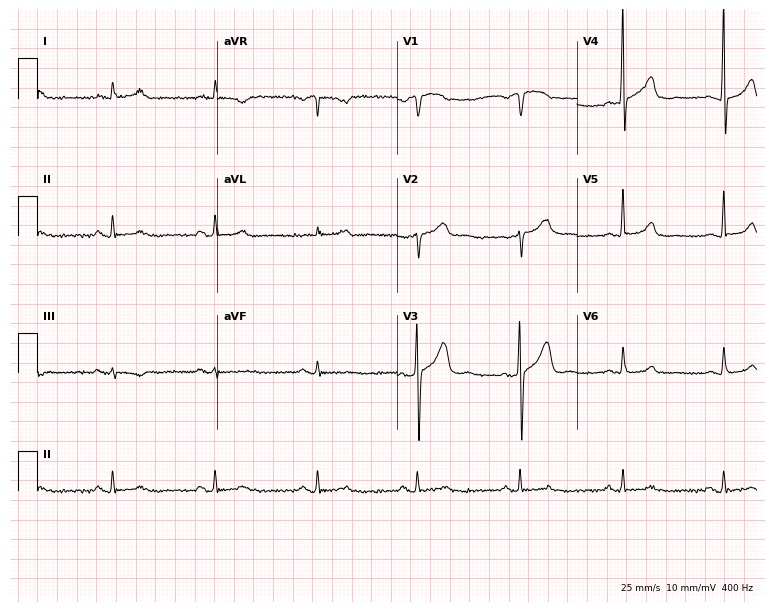
Electrocardiogram (7.3-second recording at 400 Hz), a 58-year-old male. Overall reading on record: normal ECG.